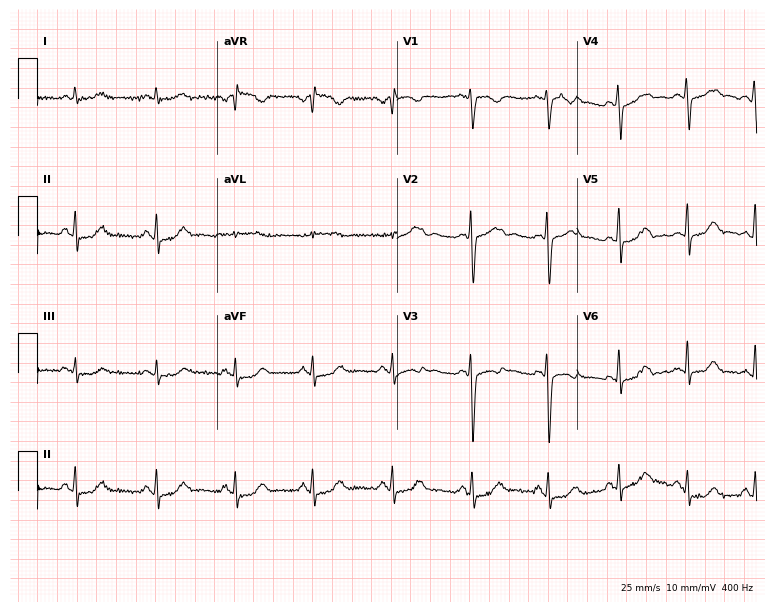
Standard 12-lead ECG recorded from a female patient, 26 years old. Read as a normal ECG.